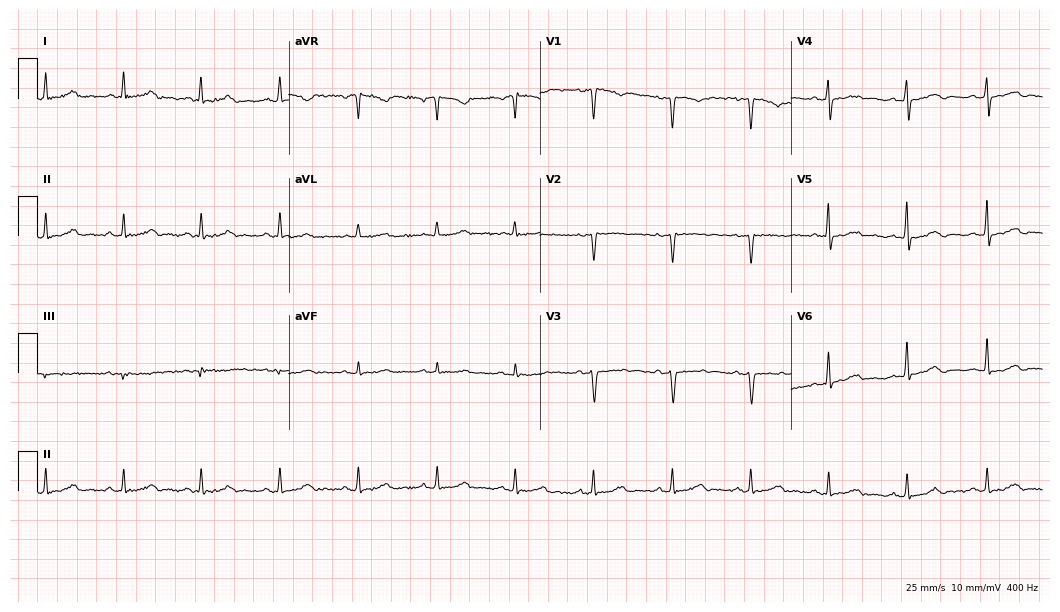
Resting 12-lead electrocardiogram. Patient: a 47-year-old female. None of these six findings is recorded: first-degree AV block, right bundle branch block, left bundle branch block, sinus bradycardia, atrial fibrillation, sinus tachycardia.